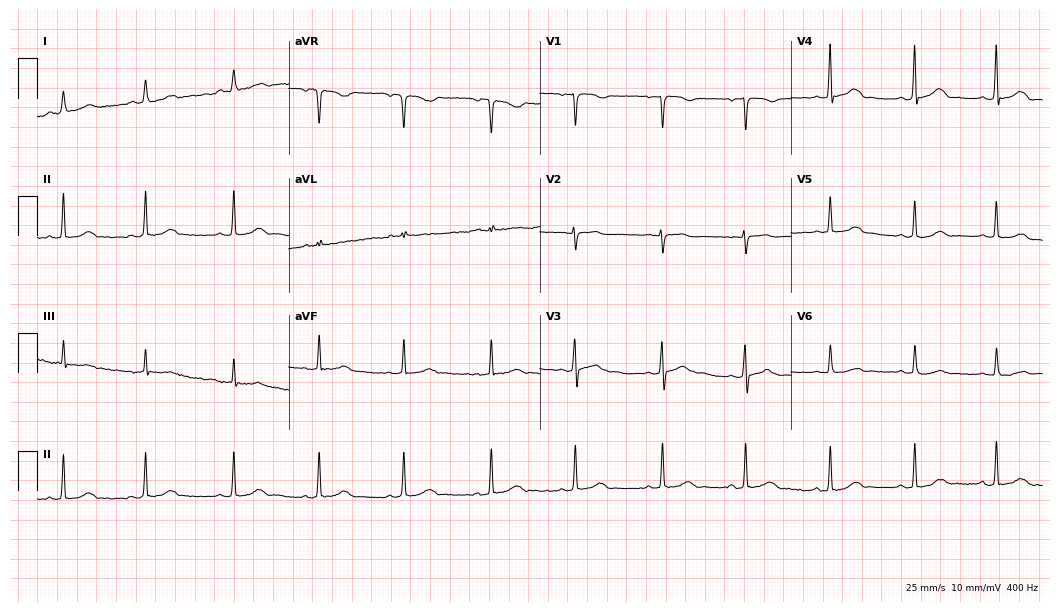
12-lead ECG from a woman, 24 years old. Labelled as a normal ECG.